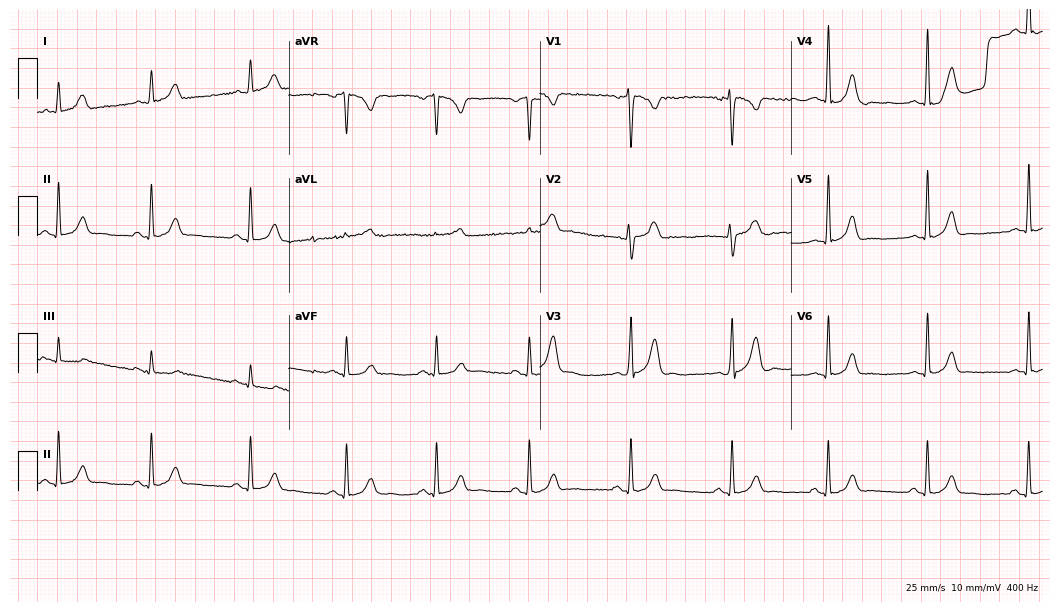
Electrocardiogram (10.2-second recording at 400 Hz), a 34-year-old female. Overall reading on record: normal ECG.